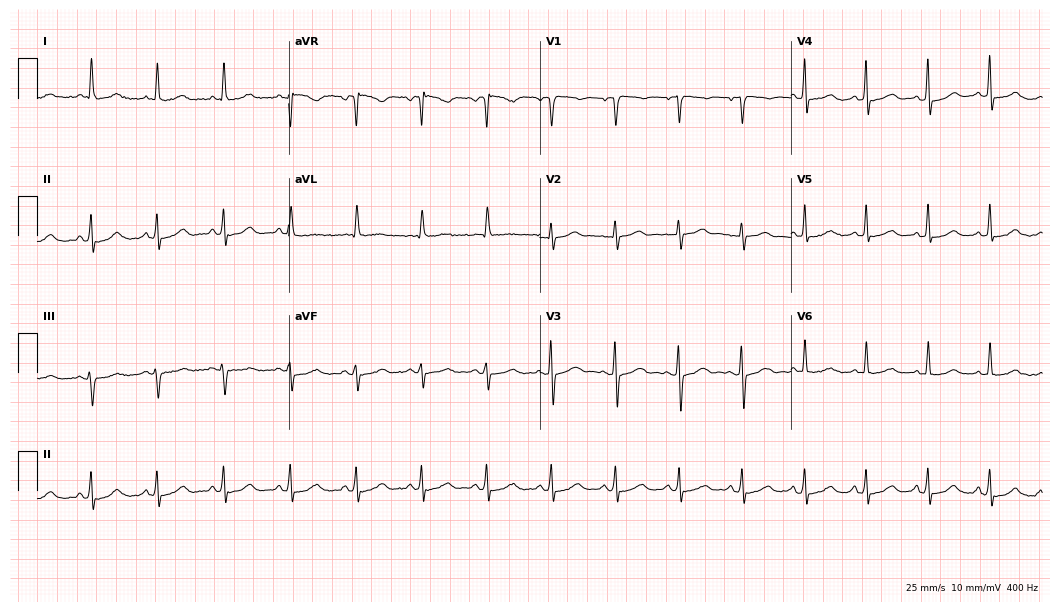
12-lead ECG from a 63-year-old female. Recorded interpretation: within normal limits.